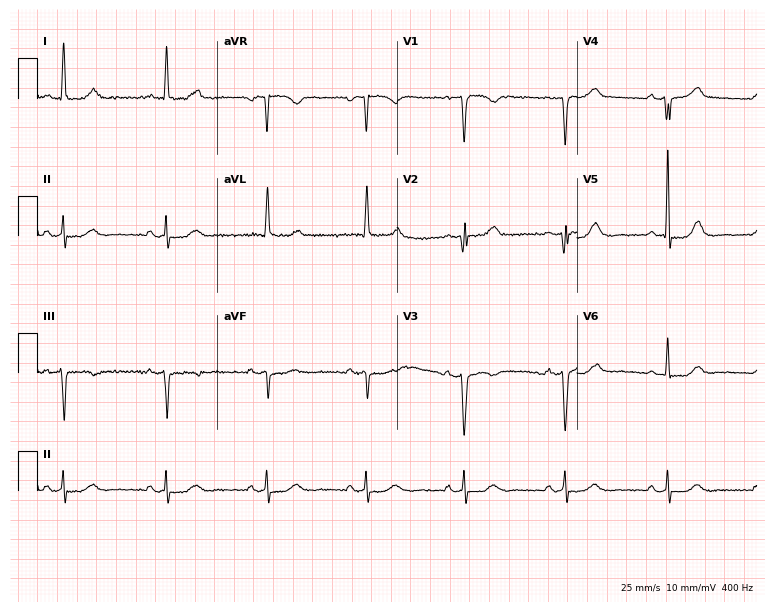
ECG — a 61-year-old woman. Screened for six findings — first-degree AV block, right bundle branch block, left bundle branch block, sinus bradycardia, atrial fibrillation, sinus tachycardia — none is recorded. Findings outside these six are not listed.